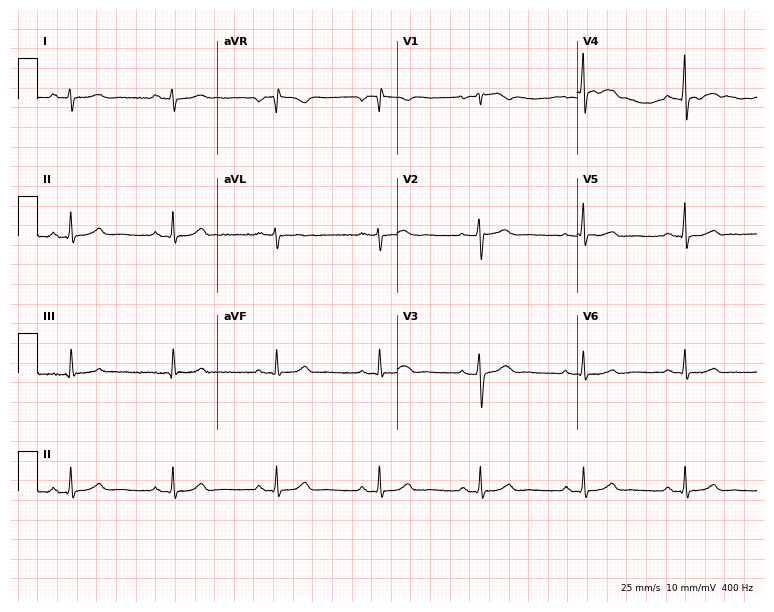
12-lead ECG (7.3-second recording at 400 Hz) from a 53-year-old female. Screened for six findings — first-degree AV block, right bundle branch block, left bundle branch block, sinus bradycardia, atrial fibrillation, sinus tachycardia — none is recorded. Findings outside these six are not listed.